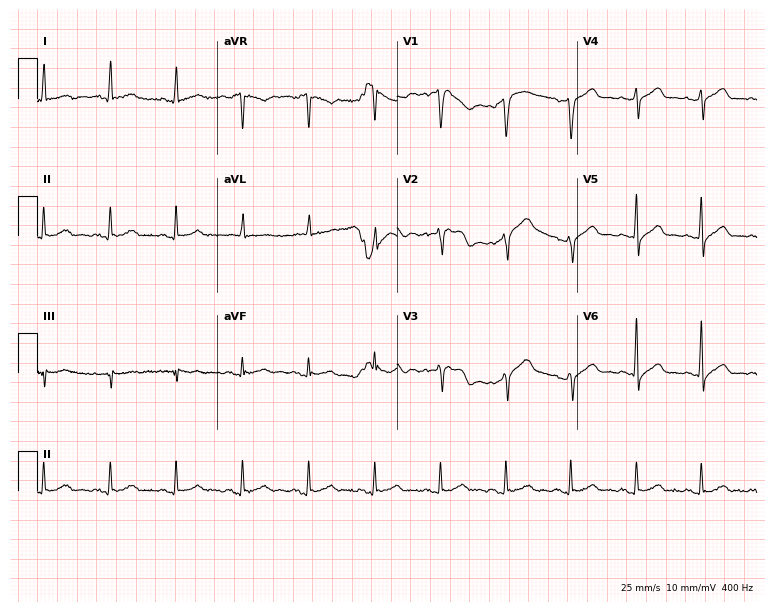
Resting 12-lead electrocardiogram. Patient: a 56-year-old man. None of these six findings is recorded: first-degree AV block, right bundle branch block, left bundle branch block, sinus bradycardia, atrial fibrillation, sinus tachycardia. Findings outside these six are not listed.